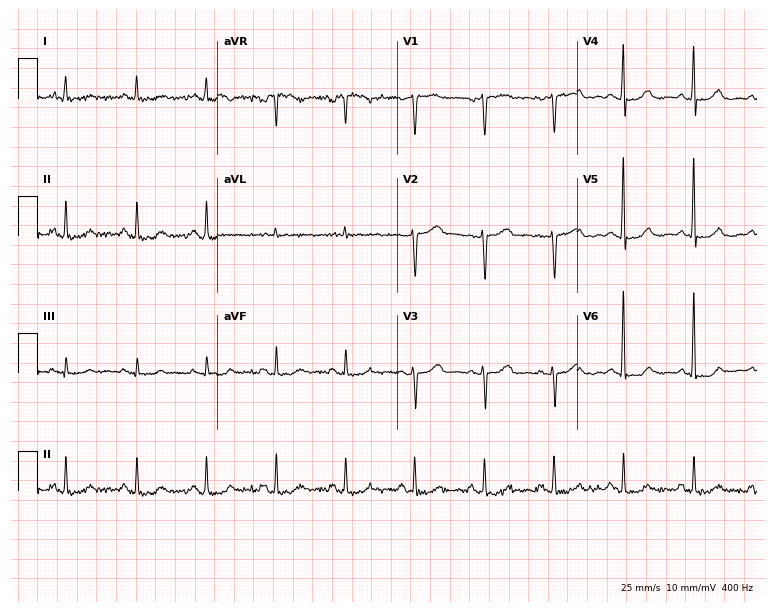
Electrocardiogram (7.3-second recording at 400 Hz), a woman, 46 years old. Of the six screened findings (first-degree AV block, right bundle branch block (RBBB), left bundle branch block (LBBB), sinus bradycardia, atrial fibrillation (AF), sinus tachycardia), none is recorded. Other findings, if any, are not listed.